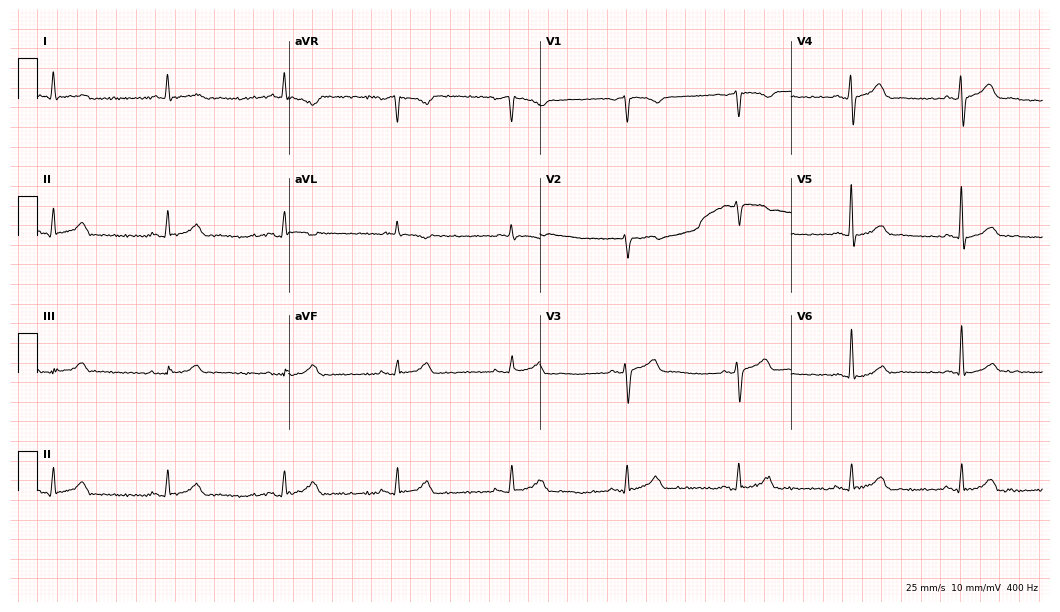
12-lead ECG from a man, 66 years old. Screened for six findings — first-degree AV block, right bundle branch block, left bundle branch block, sinus bradycardia, atrial fibrillation, sinus tachycardia — none is recorded. Findings outside these six are not listed.